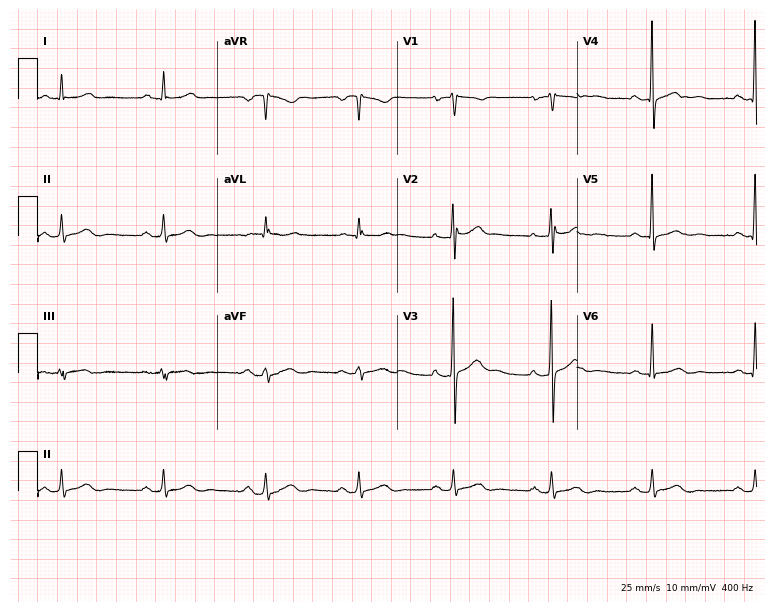
12-lead ECG from a 55-year-old male. Recorded interpretation: within normal limits.